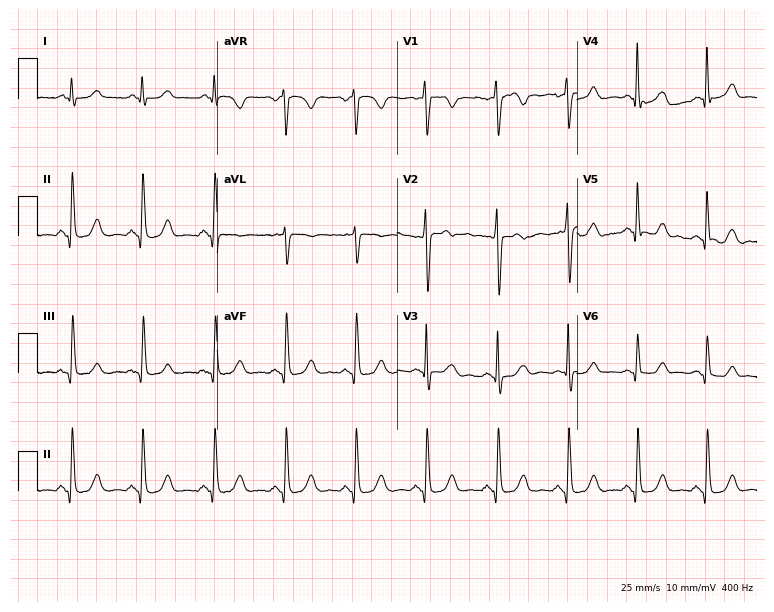
ECG — a 52-year-old woman. Labelled as a normal ECG.